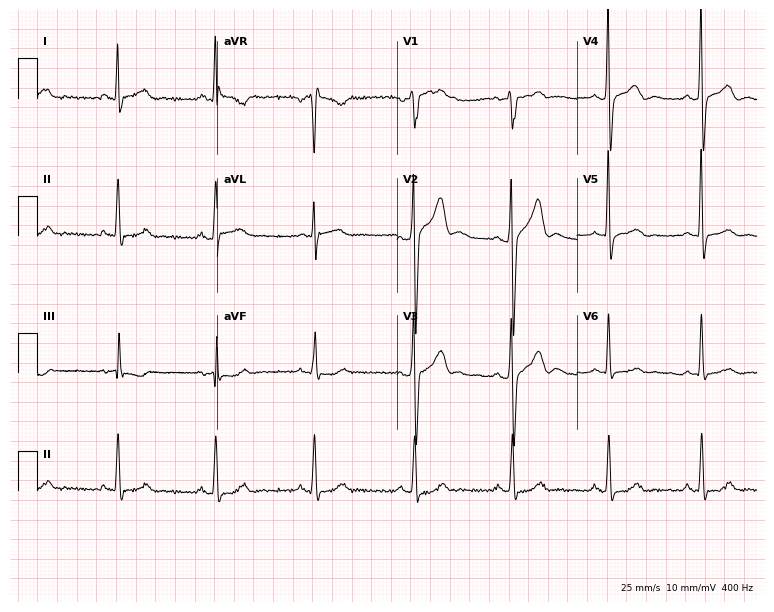
12-lead ECG from a 37-year-old male patient. Screened for six findings — first-degree AV block, right bundle branch block, left bundle branch block, sinus bradycardia, atrial fibrillation, sinus tachycardia — none is recorded. Only these six findings were labelled.